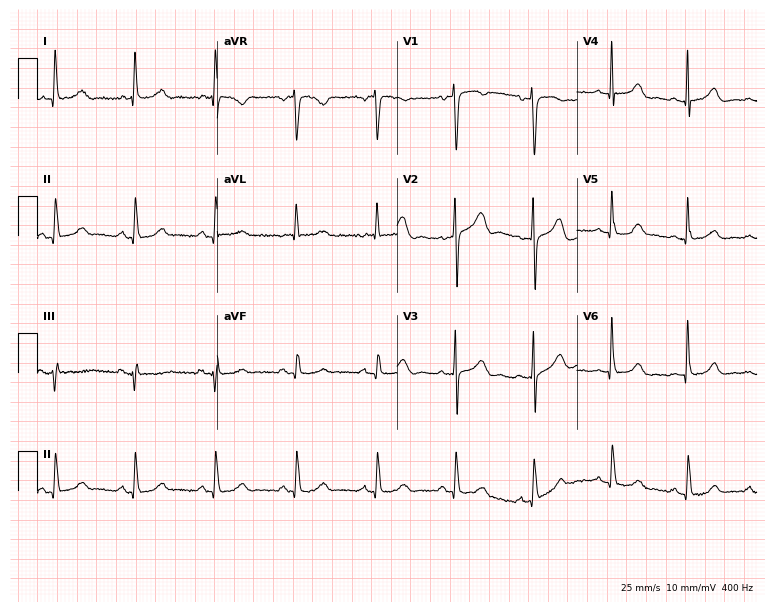
12-lead ECG from a 68-year-old female patient. Recorded interpretation: within normal limits.